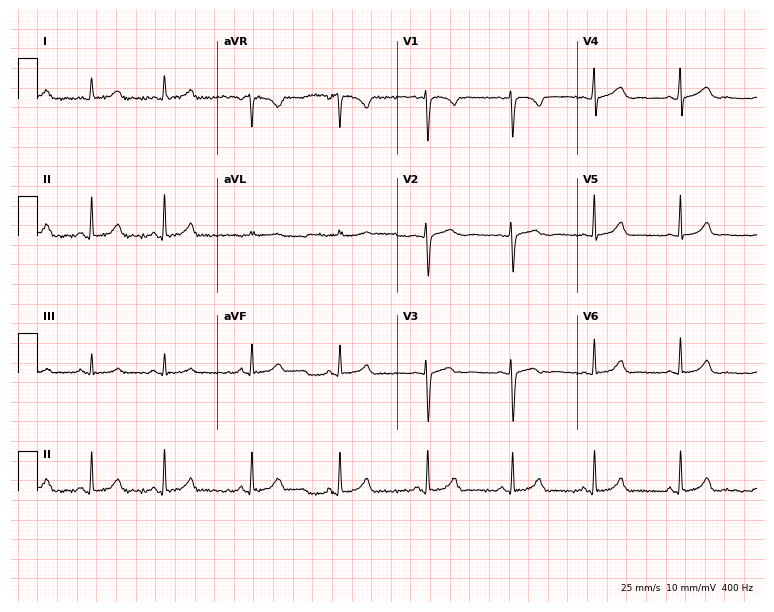
ECG — a female patient, 18 years old. Screened for six findings — first-degree AV block, right bundle branch block, left bundle branch block, sinus bradycardia, atrial fibrillation, sinus tachycardia — none is recorded.